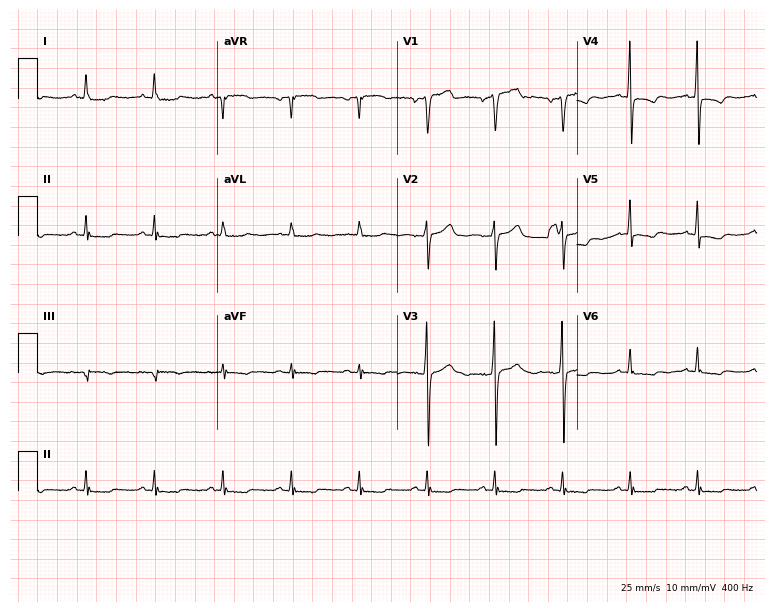
12-lead ECG (7.3-second recording at 400 Hz) from a man, 52 years old. Screened for six findings — first-degree AV block, right bundle branch block (RBBB), left bundle branch block (LBBB), sinus bradycardia, atrial fibrillation (AF), sinus tachycardia — none is recorded. Findings outside these six are not listed.